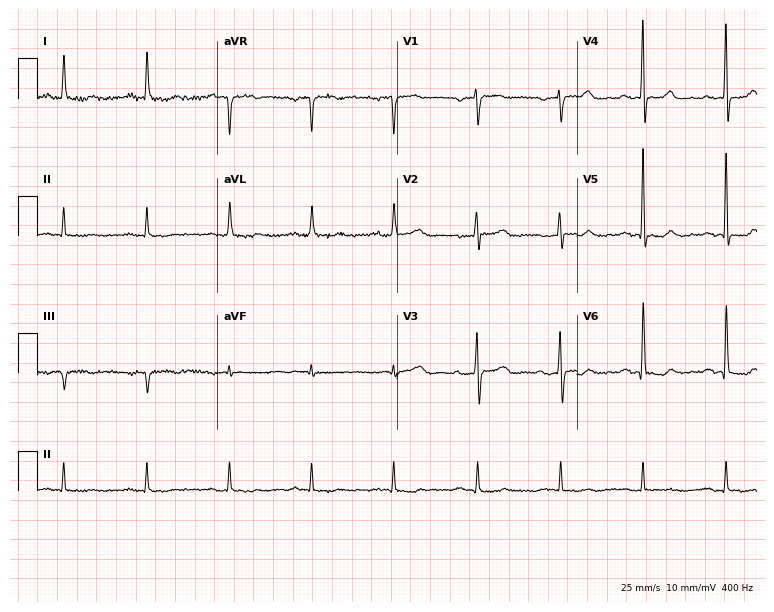
Standard 12-lead ECG recorded from a female, 51 years old (7.3-second recording at 400 Hz). None of these six findings is recorded: first-degree AV block, right bundle branch block, left bundle branch block, sinus bradycardia, atrial fibrillation, sinus tachycardia. Other findings, if any, are not listed.